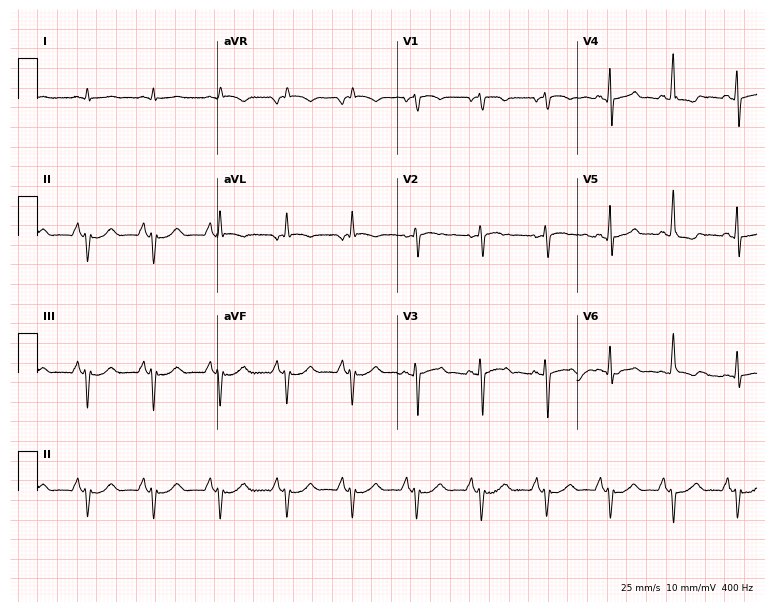
ECG — a male patient, 78 years old. Screened for six findings — first-degree AV block, right bundle branch block, left bundle branch block, sinus bradycardia, atrial fibrillation, sinus tachycardia — none is recorded.